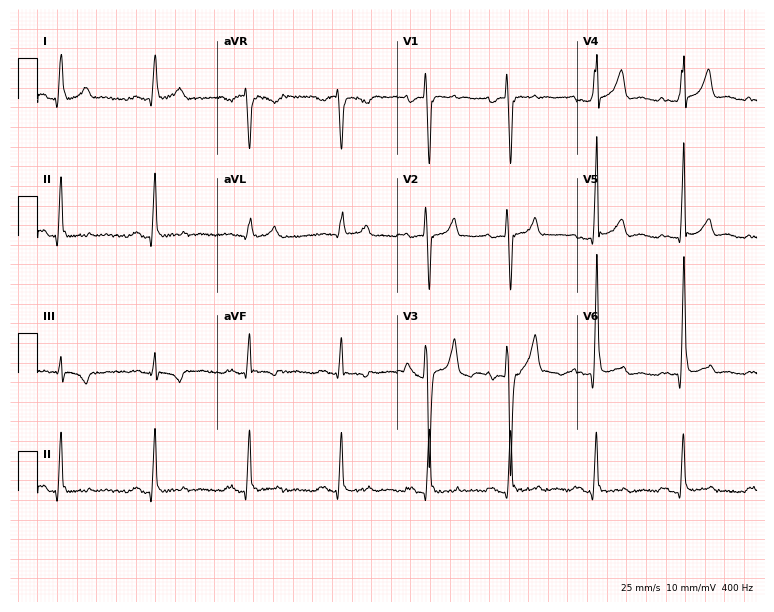
Resting 12-lead electrocardiogram (7.3-second recording at 400 Hz). Patient: a man, 42 years old. None of these six findings is recorded: first-degree AV block, right bundle branch block, left bundle branch block, sinus bradycardia, atrial fibrillation, sinus tachycardia.